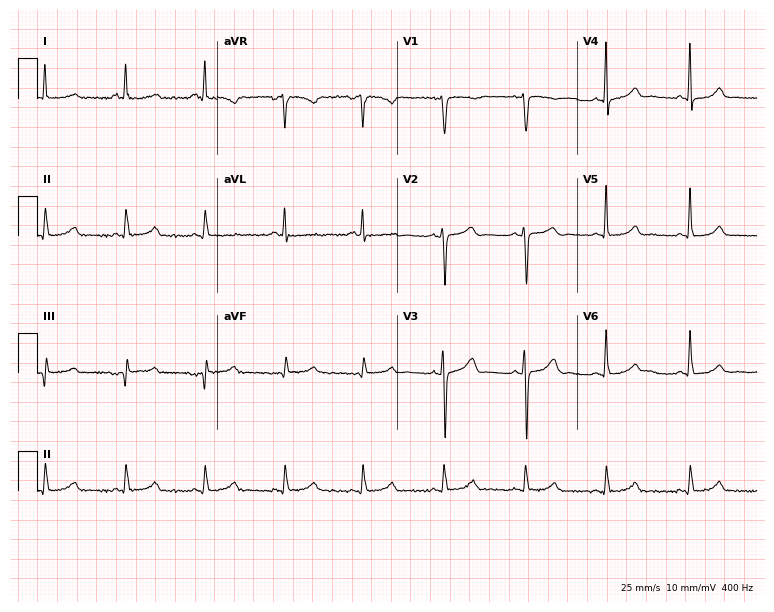
ECG (7.3-second recording at 400 Hz) — a female patient, 73 years old. Screened for six findings — first-degree AV block, right bundle branch block, left bundle branch block, sinus bradycardia, atrial fibrillation, sinus tachycardia — none is recorded.